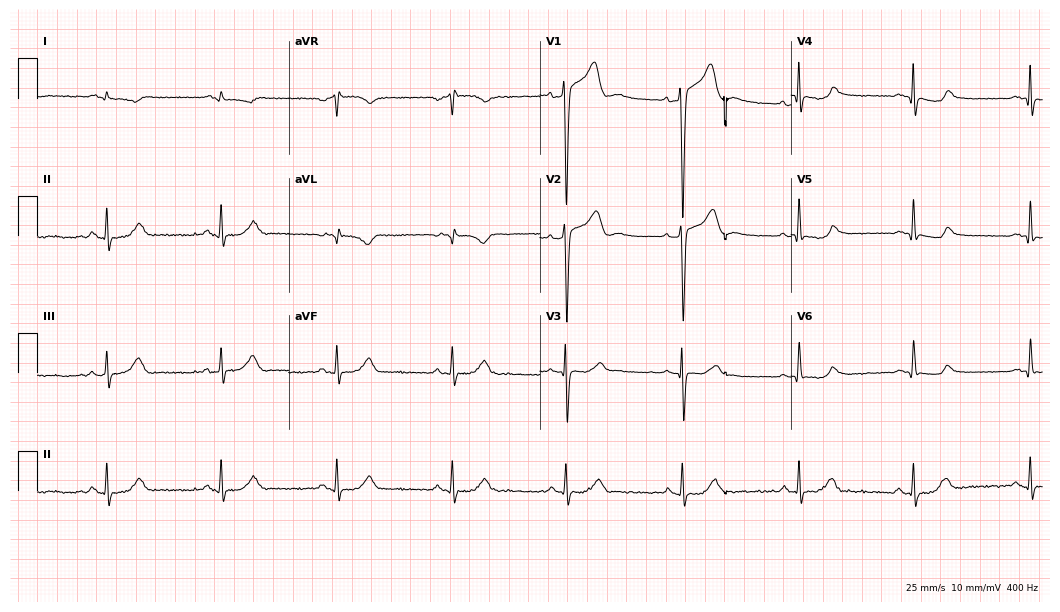
Standard 12-lead ECG recorded from a man, 43 years old (10.2-second recording at 400 Hz). None of these six findings is recorded: first-degree AV block, right bundle branch block (RBBB), left bundle branch block (LBBB), sinus bradycardia, atrial fibrillation (AF), sinus tachycardia. Other findings, if any, are not listed.